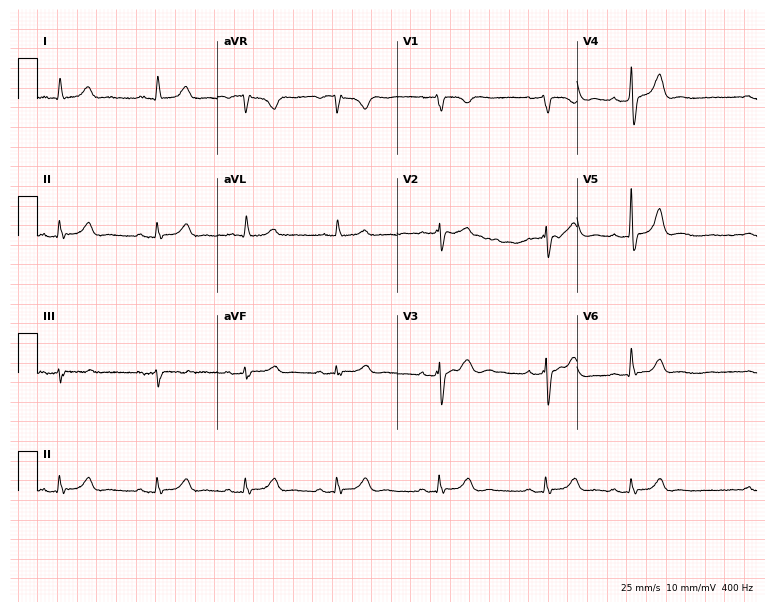
12-lead ECG from a male, 81 years old (7.3-second recording at 400 Hz). No first-degree AV block, right bundle branch block, left bundle branch block, sinus bradycardia, atrial fibrillation or sinus tachycardia recorded for this tracing.